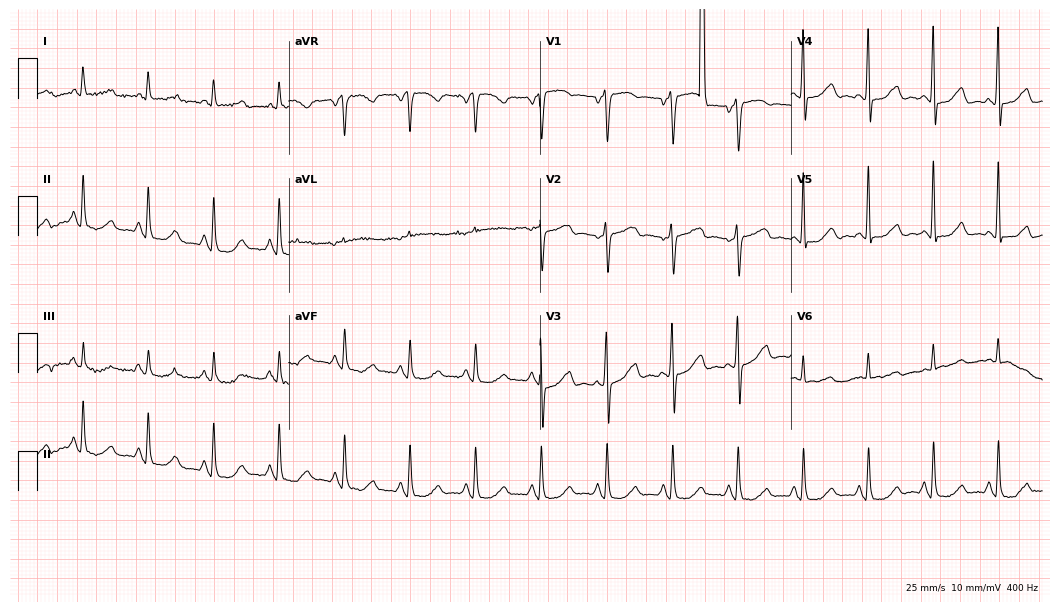
12-lead ECG from a male, 60 years old. Screened for six findings — first-degree AV block, right bundle branch block (RBBB), left bundle branch block (LBBB), sinus bradycardia, atrial fibrillation (AF), sinus tachycardia — none is recorded.